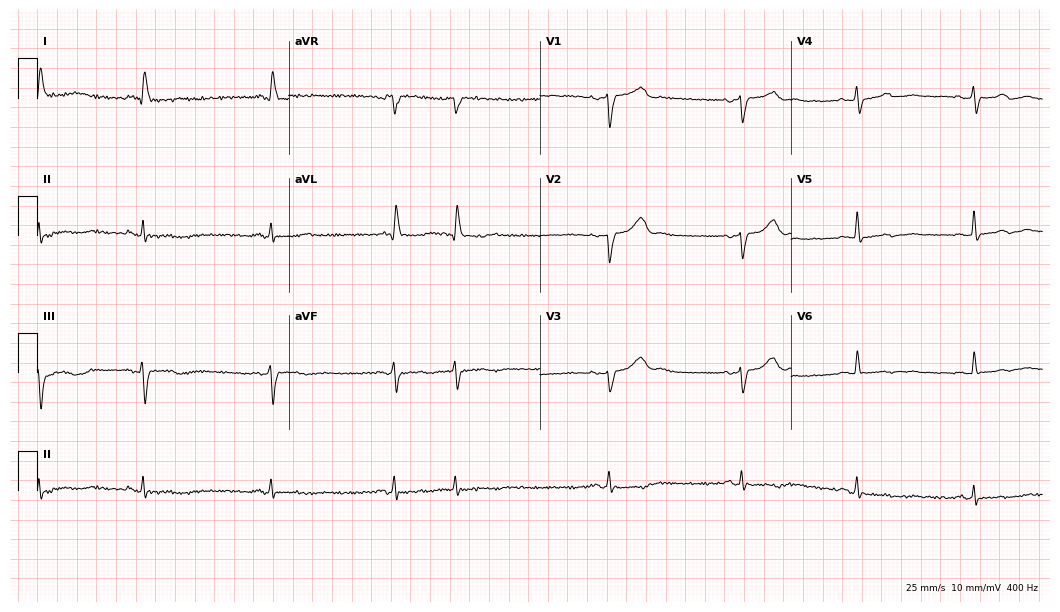
12-lead ECG (10.2-second recording at 400 Hz) from a 73-year-old woman. Screened for six findings — first-degree AV block, right bundle branch block, left bundle branch block, sinus bradycardia, atrial fibrillation, sinus tachycardia — none is recorded. Findings outside these six are not listed.